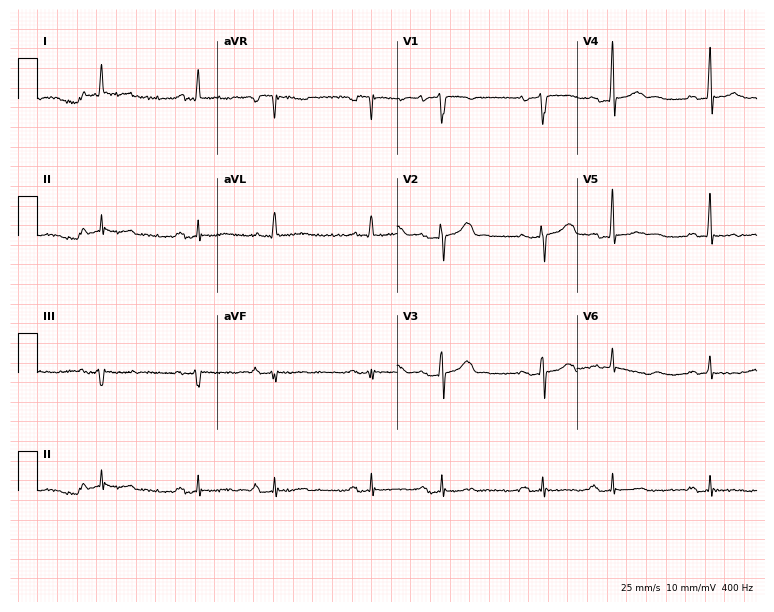
ECG — a man, 78 years old. Screened for six findings — first-degree AV block, right bundle branch block, left bundle branch block, sinus bradycardia, atrial fibrillation, sinus tachycardia — none is recorded. Findings outside these six are not listed.